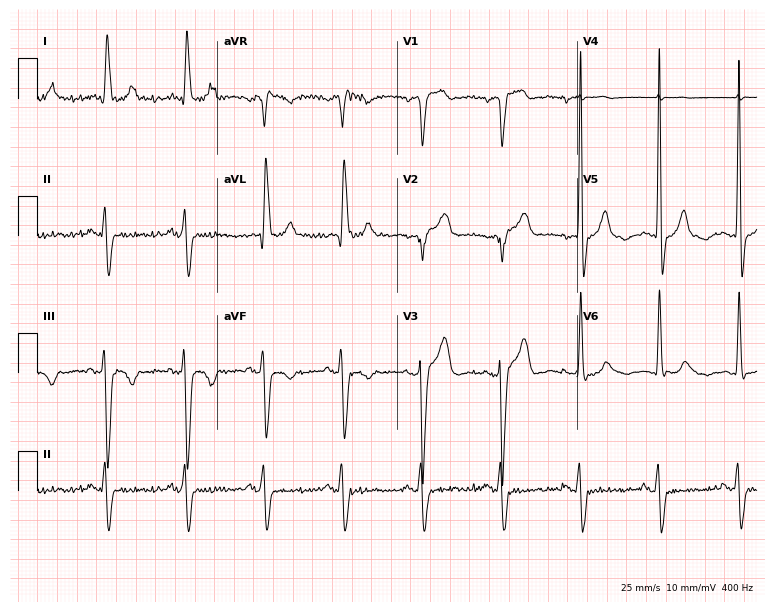
Resting 12-lead electrocardiogram (7.3-second recording at 400 Hz). Patient: a man, 79 years old. None of these six findings is recorded: first-degree AV block, right bundle branch block, left bundle branch block, sinus bradycardia, atrial fibrillation, sinus tachycardia. Other findings, if any, are not listed.